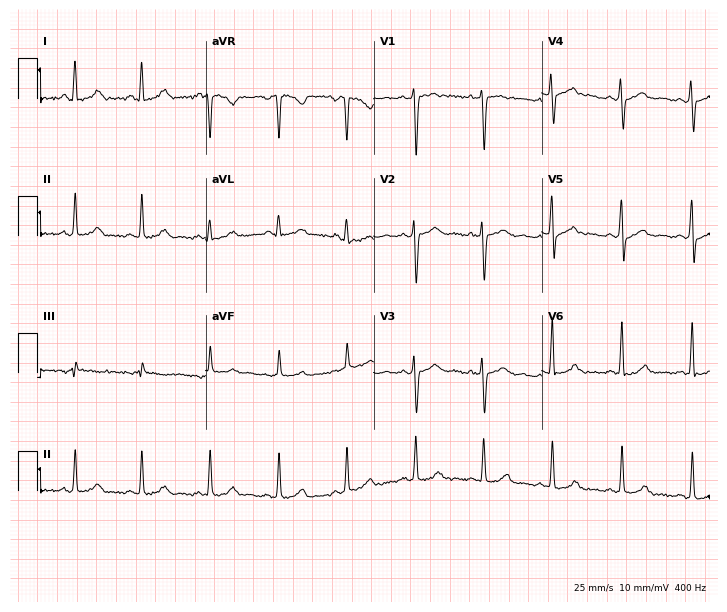
12-lead ECG from a woman, 22 years old (6.9-second recording at 400 Hz). No first-degree AV block, right bundle branch block, left bundle branch block, sinus bradycardia, atrial fibrillation or sinus tachycardia recorded for this tracing.